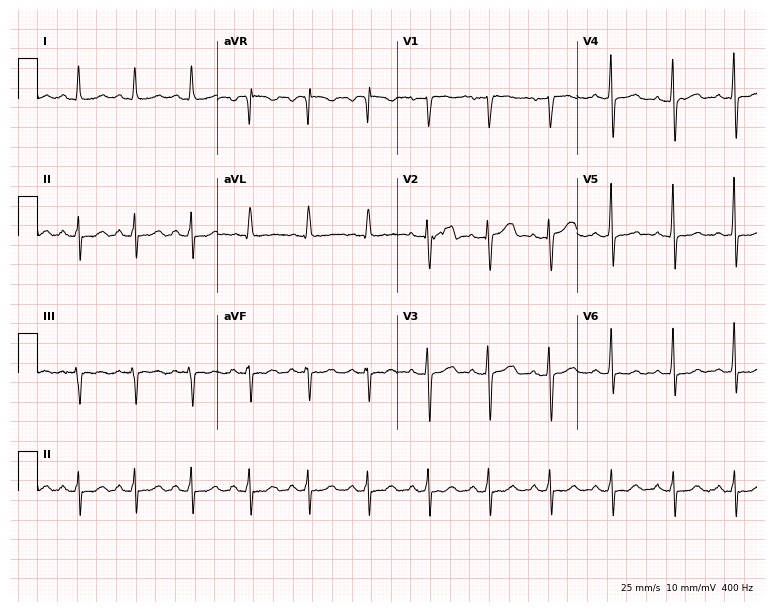
Electrocardiogram (7.3-second recording at 400 Hz), a 51-year-old male patient. Of the six screened findings (first-degree AV block, right bundle branch block, left bundle branch block, sinus bradycardia, atrial fibrillation, sinus tachycardia), none is recorded.